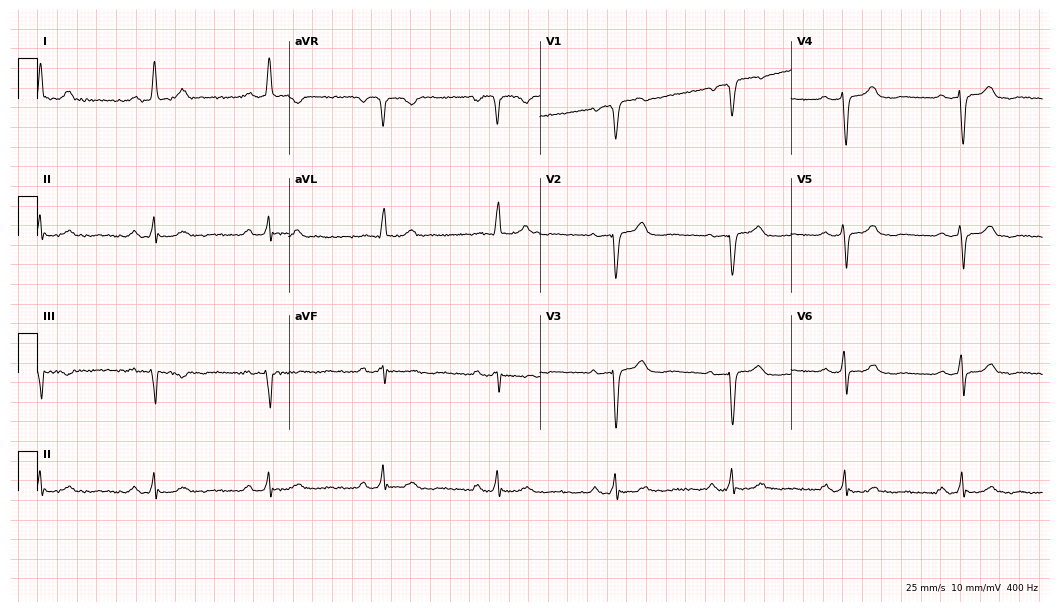
Standard 12-lead ECG recorded from a 76-year-old woman. The tracing shows first-degree AV block.